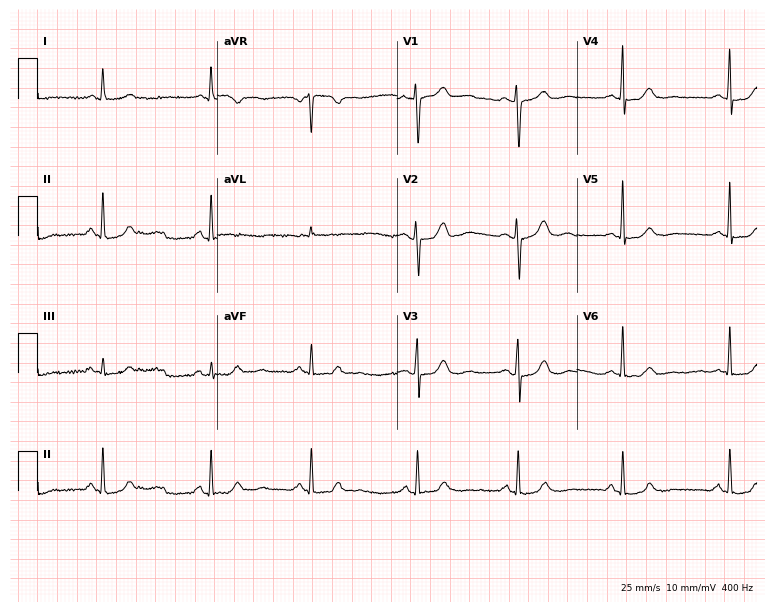
Resting 12-lead electrocardiogram. Patient: a woman, 54 years old. Read as a normal ECG.